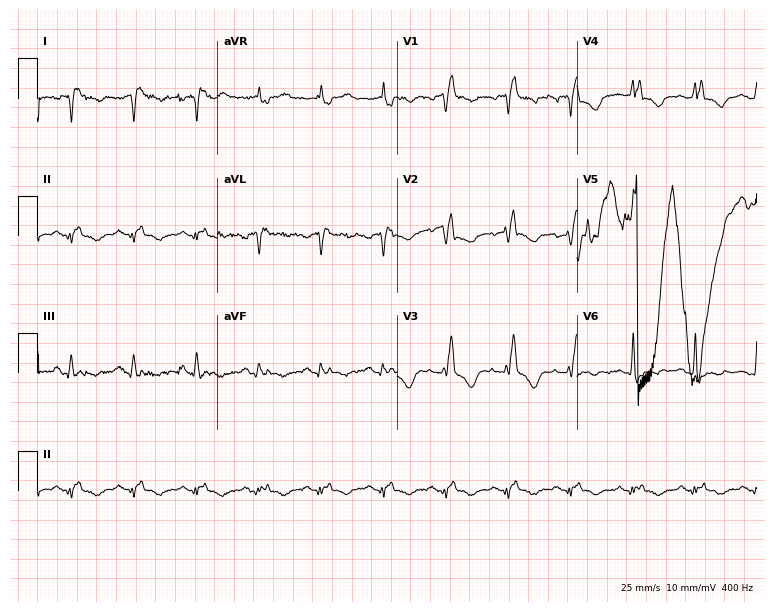
Electrocardiogram (7.3-second recording at 400 Hz), a male patient, 69 years old. Of the six screened findings (first-degree AV block, right bundle branch block, left bundle branch block, sinus bradycardia, atrial fibrillation, sinus tachycardia), none is recorded.